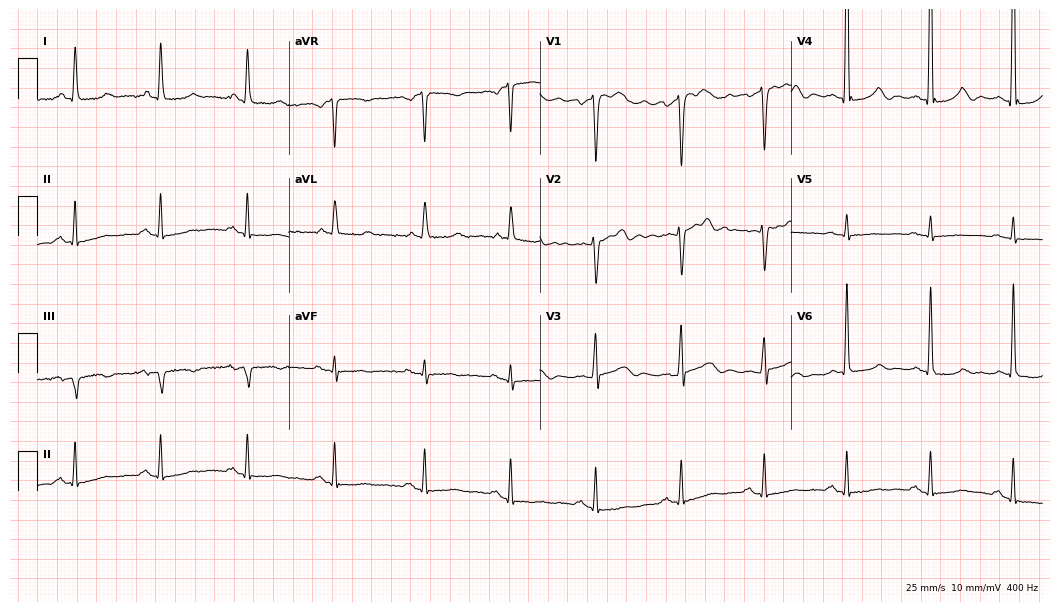
Resting 12-lead electrocardiogram (10.2-second recording at 400 Hz). Patient: a 76-year-old male. None of these six findings is recorded: first-degree AV block, right bundle branch block, left bundle branch block, sinus bradycardia, atrial fibrillation, sinus tachycardia.